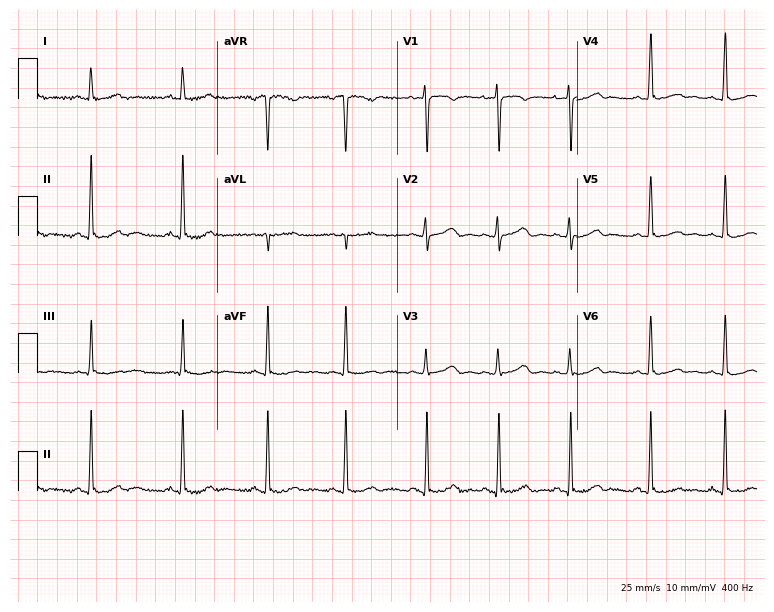
12-lead ECG from a female, 20 years old. Screened for six findings — first-degree AV block, right bundle branch block, left bundle branch block, sinus bradycardia, atrial fibrillation, sinus tachycardia — none is recorded. Other findings, if any, are not listed.